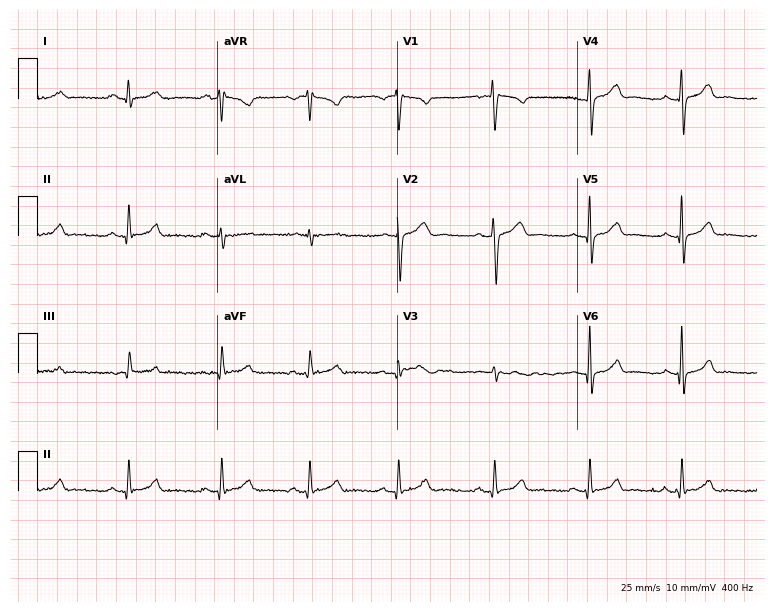
12-lead ECG from a male, 29 years old. Recorded interpretation: within normal limits.